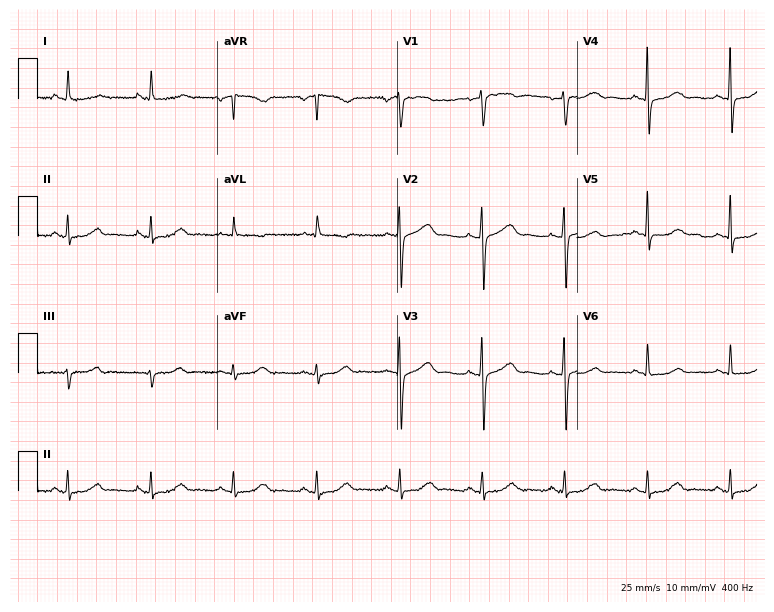
12-lead ECG from a woman, 61 years old (7.3-second recording at 400 Hz). Recorded interpretation: within normal limits.